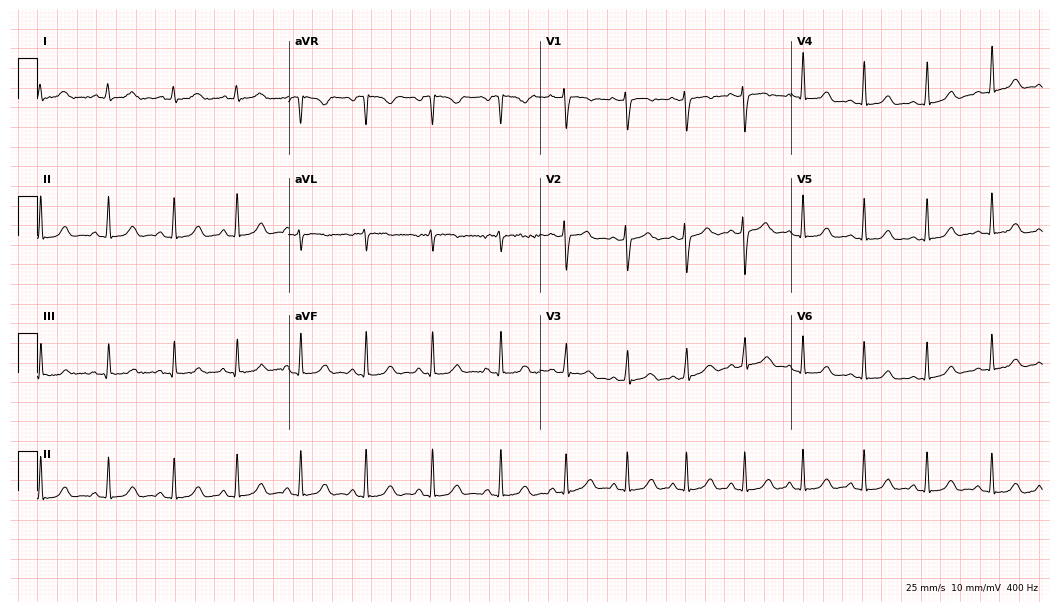
Standard 12-lead ECG recorded from a woman, 32 years old. None of these six findings is recorded: first-degree AV block, right bundle branch block, left bundle branch block, sinus bradycardia, atrial fibrillation, sinus tachycardia. Other findings, if any, are not listed.